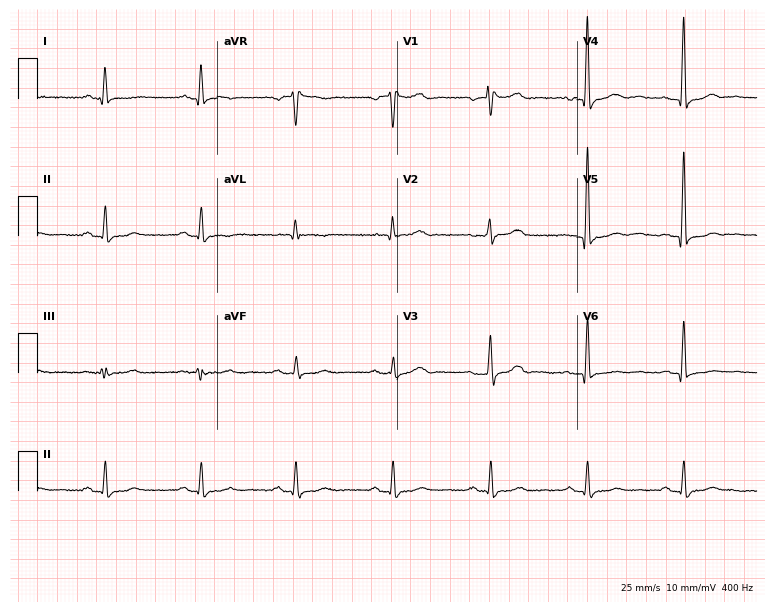
12-lead ECG from a male patient, 73 years old. Shows right bundle branch block (RBBB).